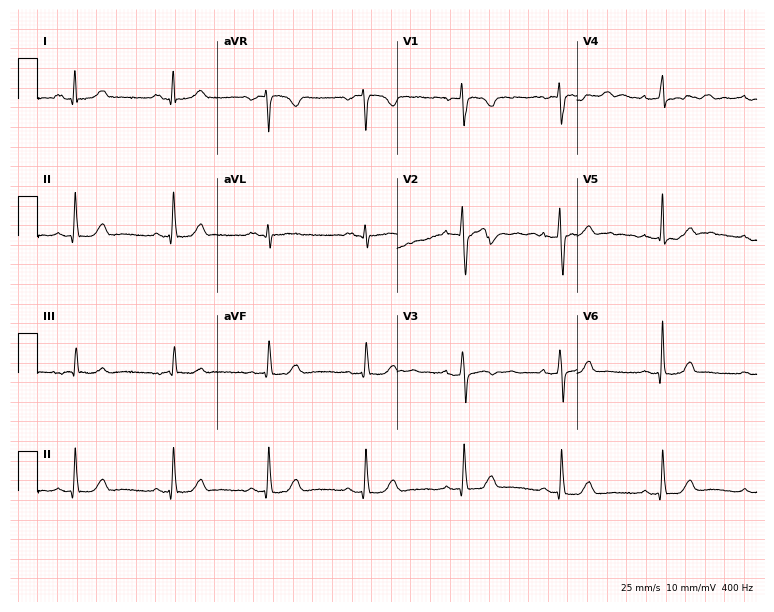
12-lead ECG (7.3-second recording at 400 Hz) from a female, 29 years old. Labelled as a normal ECG.